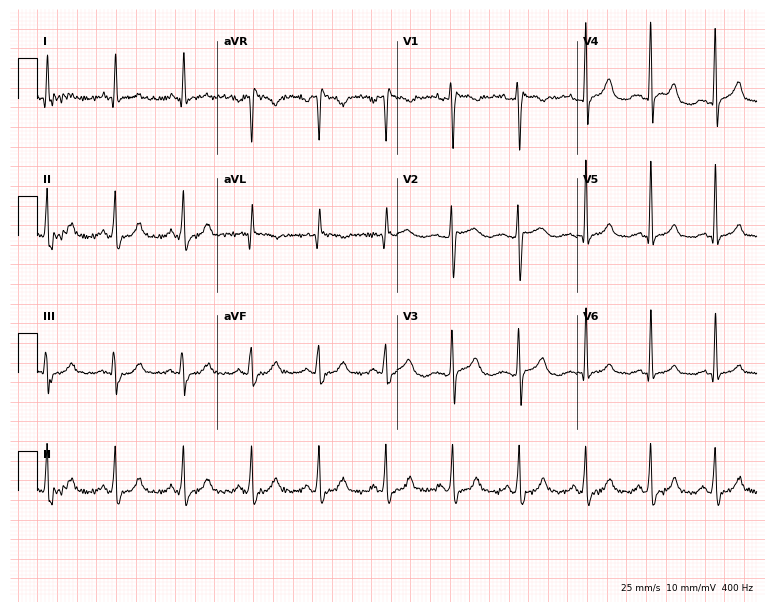
Standard 12-lead ECG recorded from a 36-year-old woman. None of these six findings is recorded: first-degree AV block, right bundle branch block (RBBB), left bundle branch block (LBBB), sinus bradycardia, atrial fibrillation (AF), sinus tachycardia. Other findings, if any, are not listed.